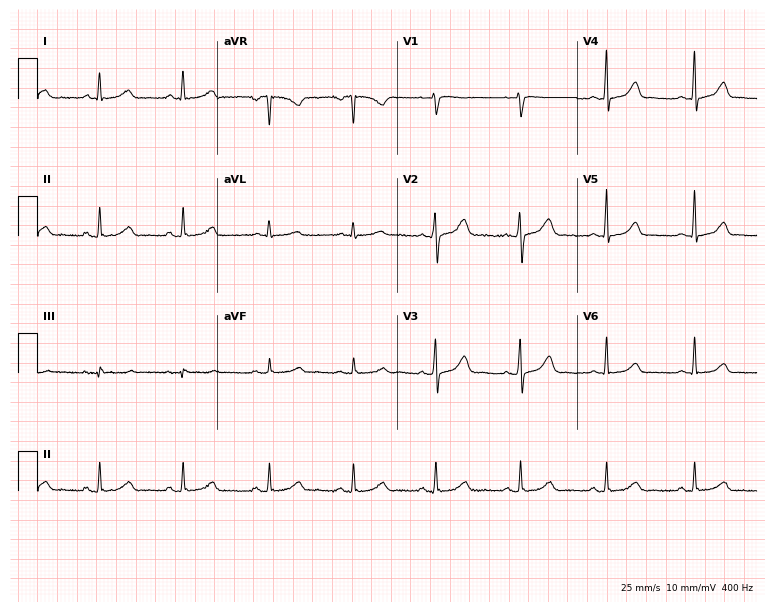
ECG — a 35-year-old female patient. Labelled as a normal ECG.